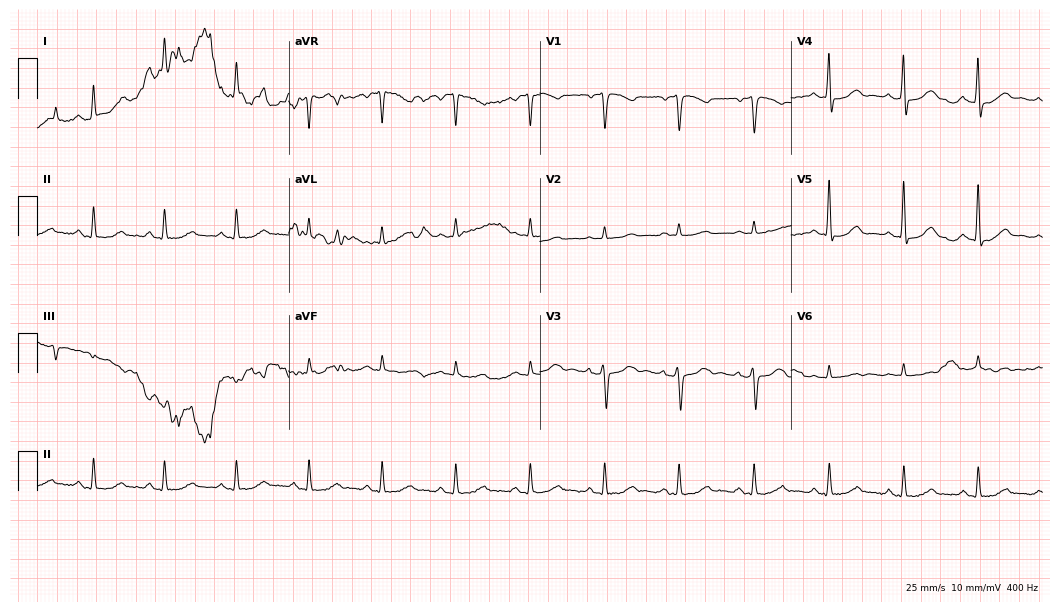
Standard 12-lead ECG recorded from a 56-year-old female patient. None of these six findings is recorded: first-degree AV block, right bundle branch block, left bundle branch block, sinus bradycardia, atrial fibrillation, sinus tachycardia. Other findings, if any, are not listed.